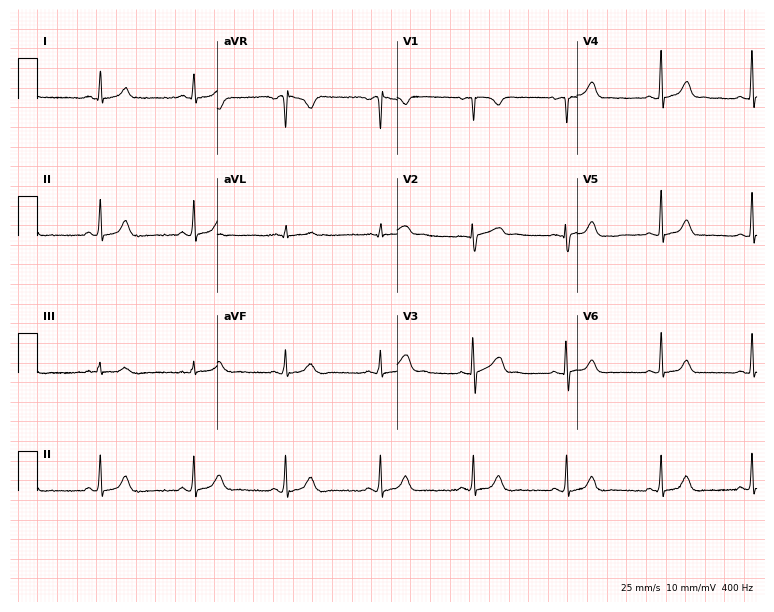
Resting 12-lead electrocardiogram (7.3-second recording at 400 Hz). Patient: a female, 29 years old. Read as a normal ECG.